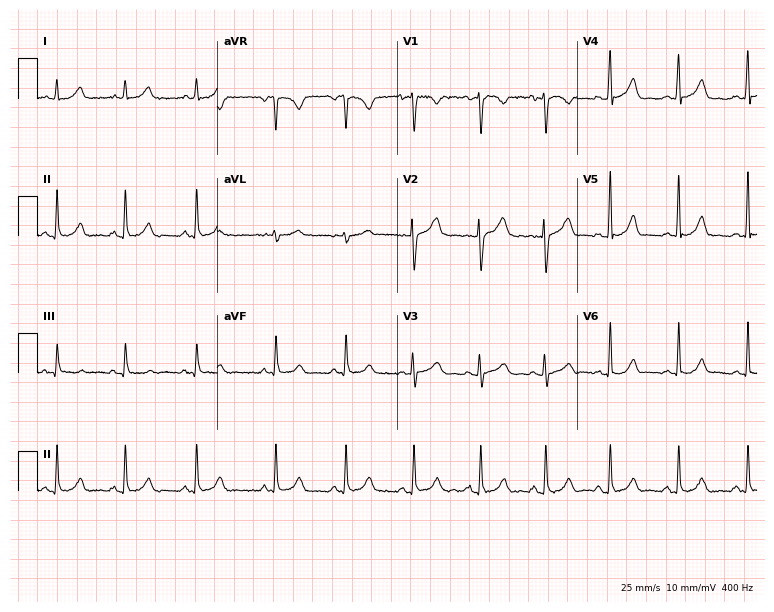
12-lead ECG from a female, 23 years old. Labelled as a normal ECG.